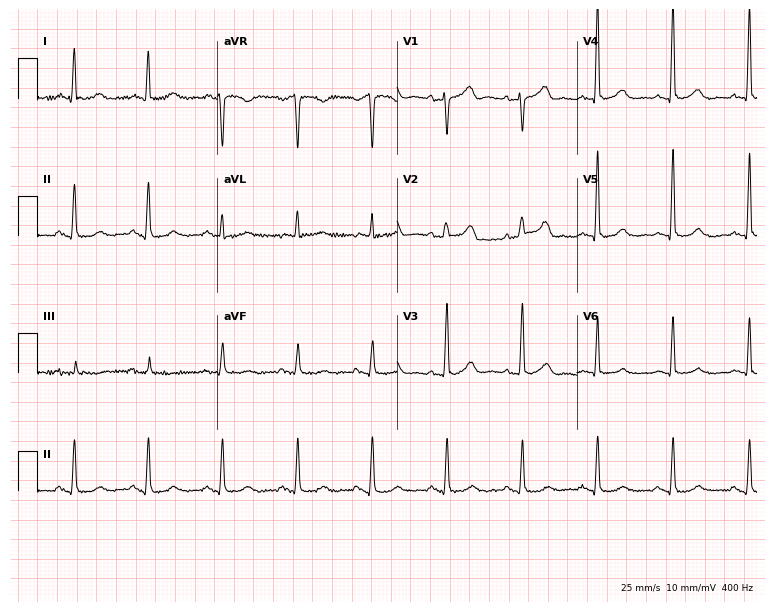
Electrocardiogram, a male patient, 81 years old. Overall reading on record: normal ECG.